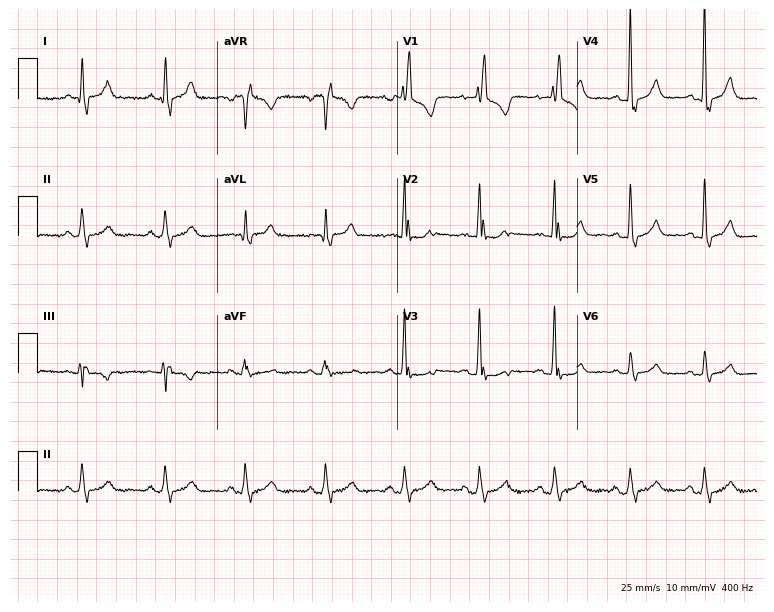
Standard 12-lead ECG recorded from a 76-year-old female patient. The tracing shows right bundle branch block (RBBB).